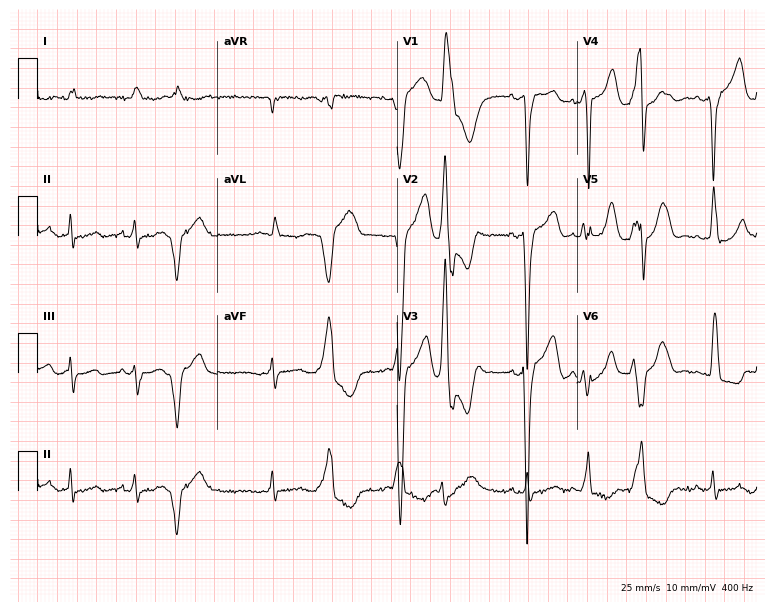
Electrocardiogram, an 85-year-old male. Of the six screened findings (first-degree AV block, right bundle branch block, left bundle branch block, sinus bradycardia, atrial fibrillation, sinus tachycardia), none is recorded.